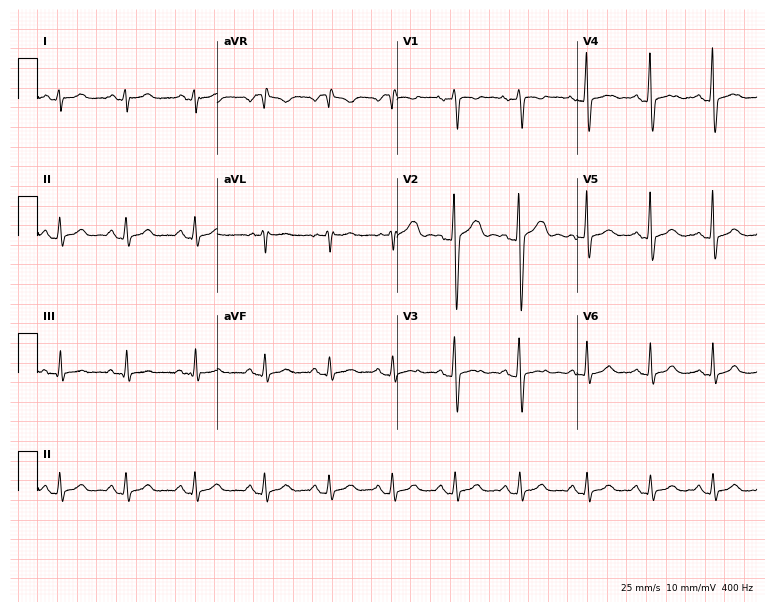
Resting 12-lead electrocardiogram (7.3-second recording at 400 Hz). Patient: a male, 17 years old. None of these six findings is recorded: first-degree AV block, right bundle branch block (RBBB), left bundle branch block (LBBB), sinus bradycardia, atrial fibrillation (AF), sinus tachycardia.